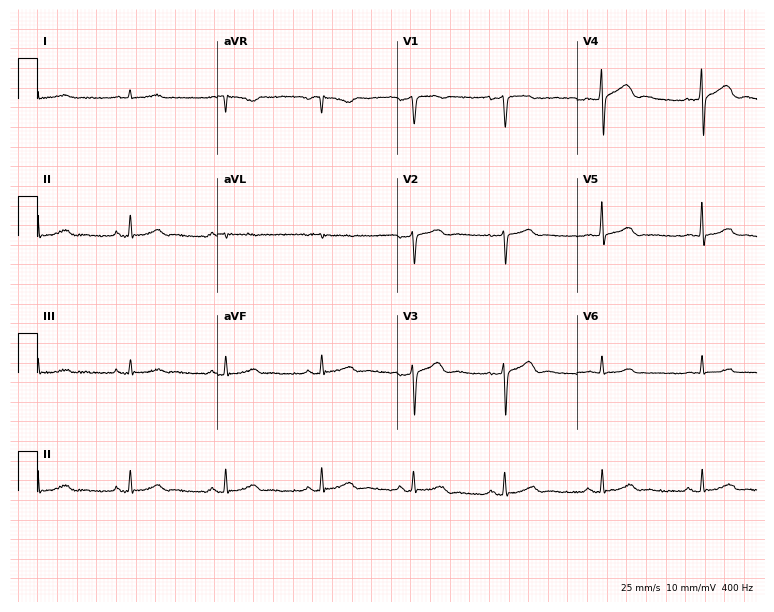
ECG (7.3-second recording at 400 Hz) — a 37-year-old male. Screened for six findings — first-degree AV block, right bundle branch block, left bundle branch block, sinus bradycardia, atrial fibrillation, sinus tachycardia — none is recorded.